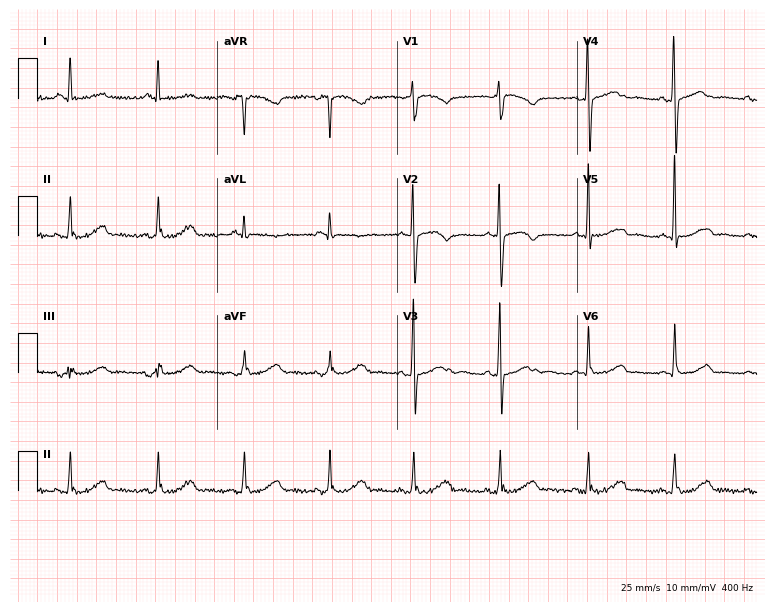
Standard 12-lead ECG recorded from a female patient, 73 years old (7.3-second recording at 400 Hz). None of these six findings is recorded: first-degree AV block, right bundle branch block (RBBB), left bundle branch block (LBBB), sinus bradycardia, atrial fibrillation (AF), sinus tachycardia.